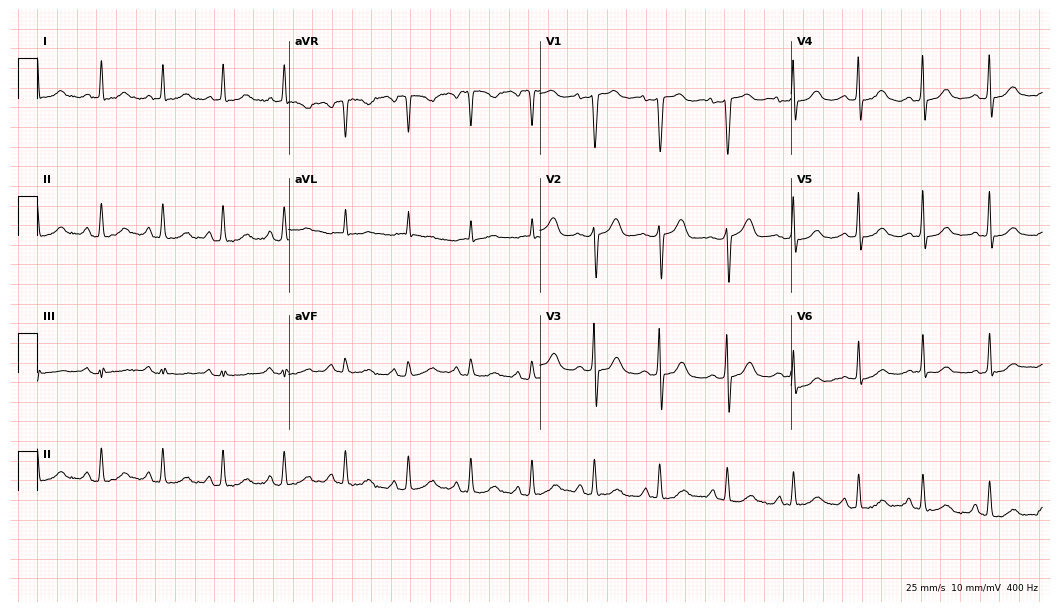
12-lead ECG from a woman, 57 years old. Labelled as a normal ECG.